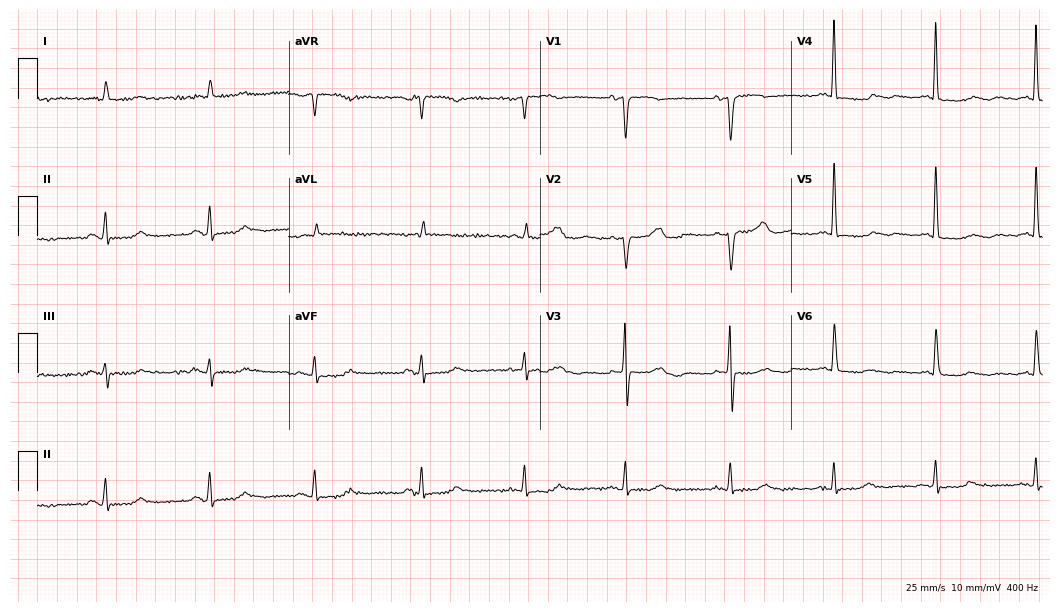
ECG (10.2-second recording at 400 Hz) — a woman, 75 years old. Screened for six findings — first-degree AV block, right bundle branch block, left bundle branch block, sinus bradycardia, atrial fibrillation, sinus tachycardia — none is recorded.